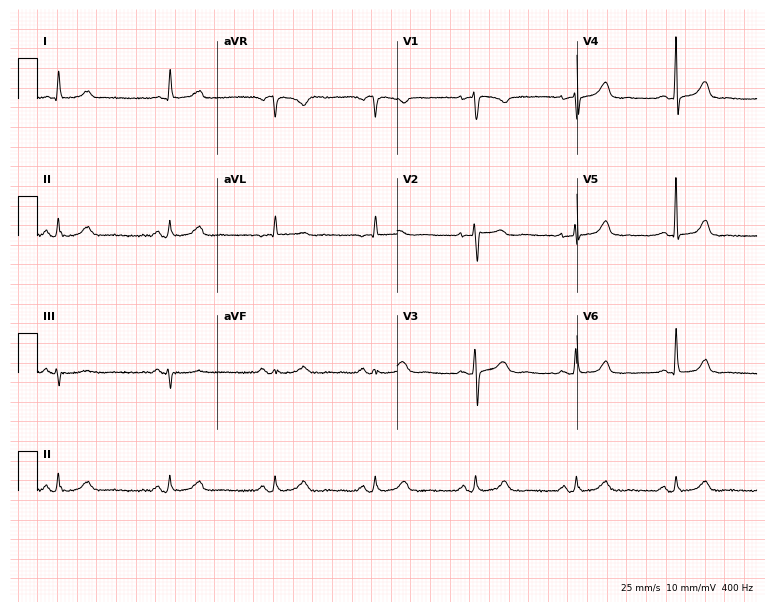
Resting 12-lead electrocardiogram (7.3-second recording at 400 Hz). Patient: a female, 67 years old. None of these six findings is recorded: first-degree AV block, right bundle branch block, left bundle branch block, sinus bradycardia, atrial fibrillation, sinus tachycardia.